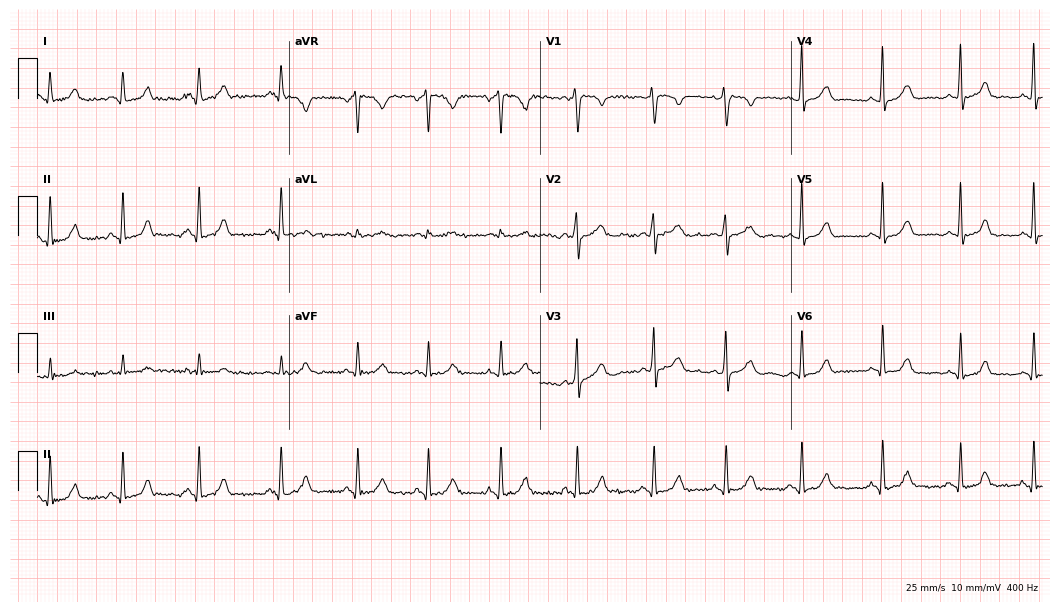
Electrocardiogram, a woman, 24 years old. Overall reading on record: normal ECG.